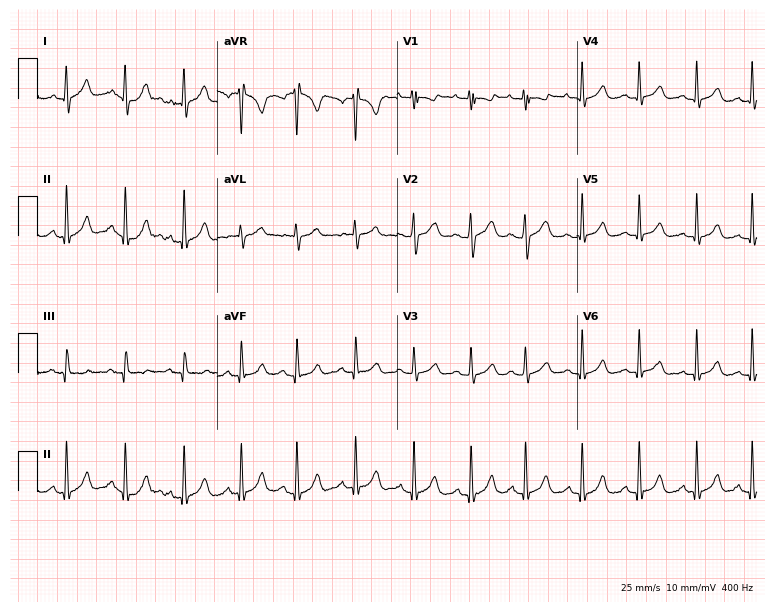
12-lead ECG from a woman, 21 years old. Recorded interpretation: within normal limits.